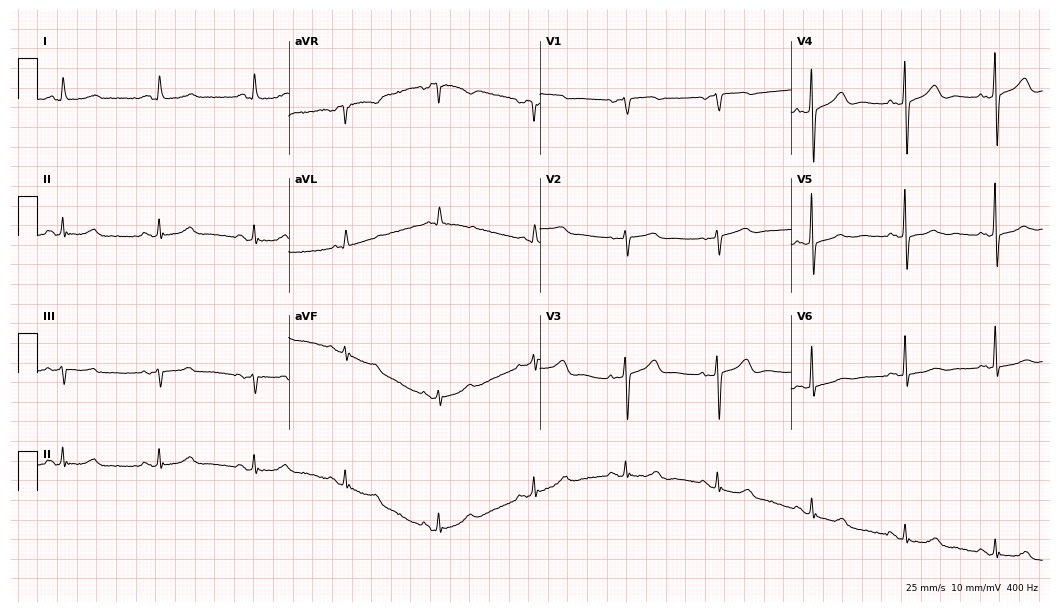
Electrocardiogram (10.2-second recording at 400 Hz), a woman, 77 years old. Overall reading on record: normal ECG.